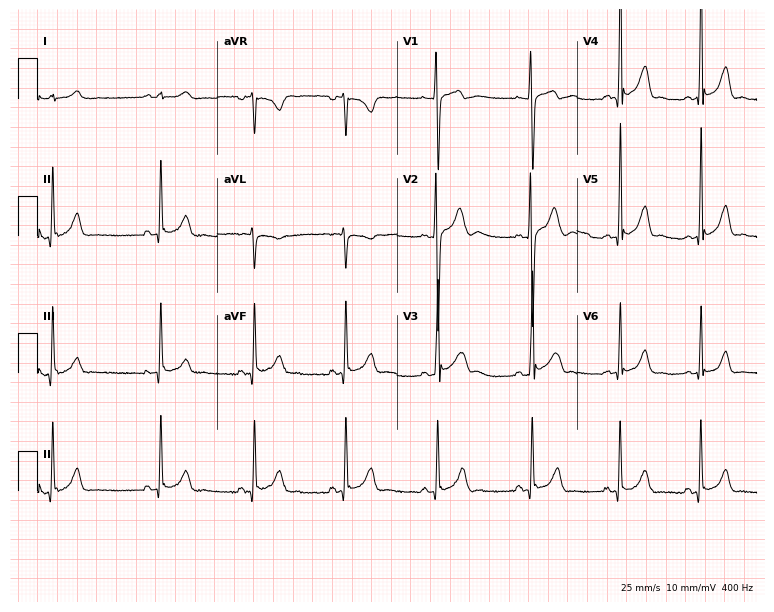
Standard 12-lead ECG recorded from a 19-year-old male (7.3-second recording at 400 Hz). None of these six findings is recorded: first-degree AV block, right bundle branch block (RBBB), left bundle branch block (LBBB), sinus bradycardia, atrial fibrillation (AF), sinus tachycardia. Findings outside these six are not listed.